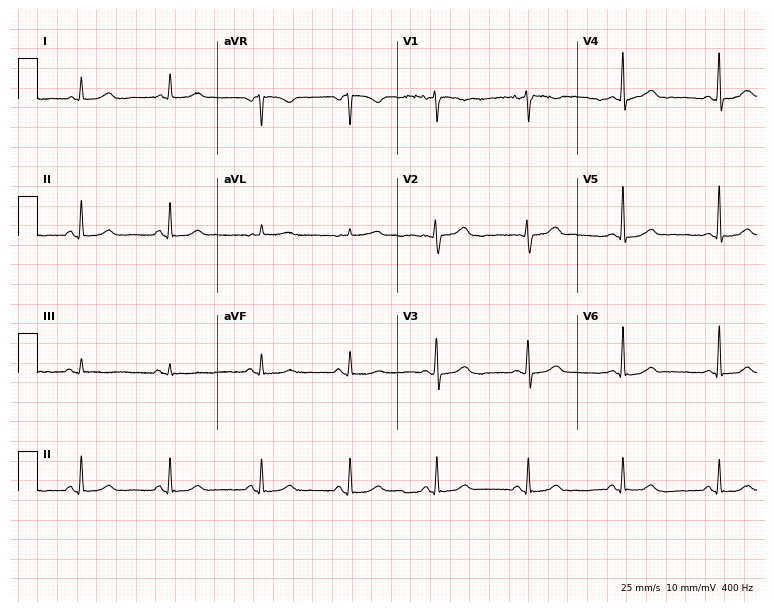
12-lead ECG from a woman, 55 years old. No first-degree AV block, right bundle branch block, left bundle branch block, sinus bradycardia, atrial fibrillation or sinus tachycardia recorded for this tracing.